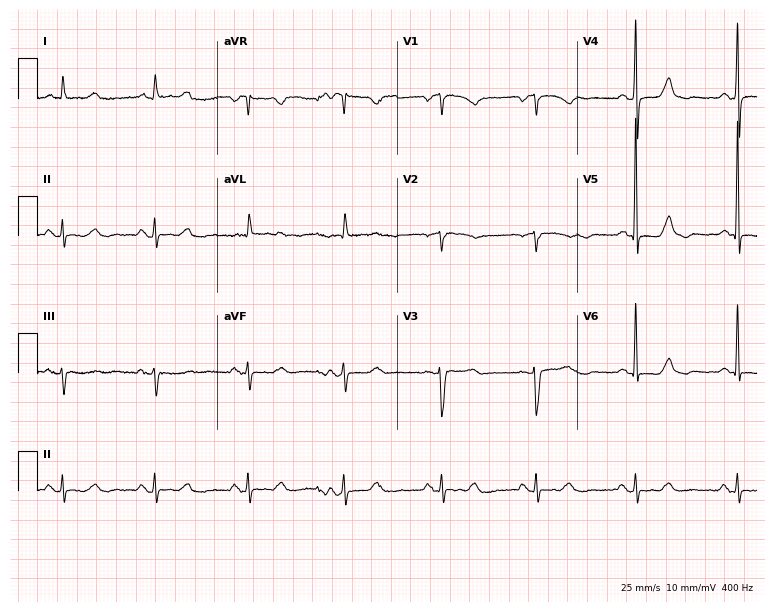
Standard 12-lead ECG recorded from a 76-year-old female patient (7.3-second recording at 400 Hz). None of these six findings is recorded: first-degree AV block, right bundle branch block, left bundle branch block, sinus bradycardia, atrial fibrillation, sinus tachycardia.